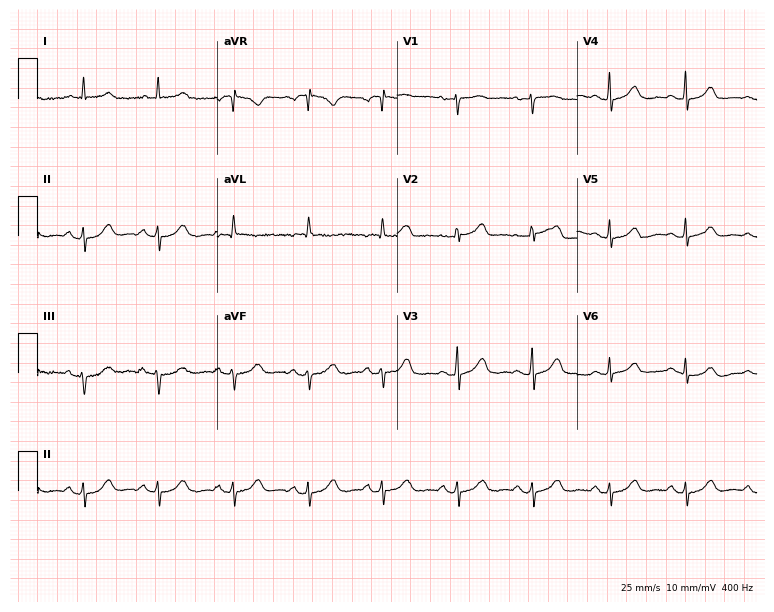
Resting 12-lead electrocardiogram (7.3-second recording at 400 Hz). Patient: an 82-year-old woman. Read as a normal ECG.